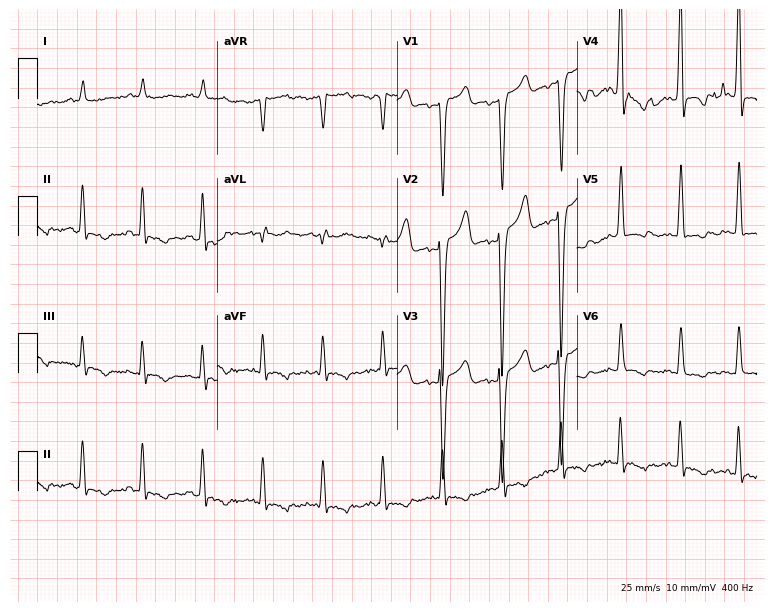
Standard 12-lead ECG recorded from a male, 45 years old (7.3-second recording at 400 Hz). None of these six findings is recorded: first-degree AV block, right bundle branch block, left bundle branch block, sinus bradycardia, atrial fibrillation, sinus tachycardia.